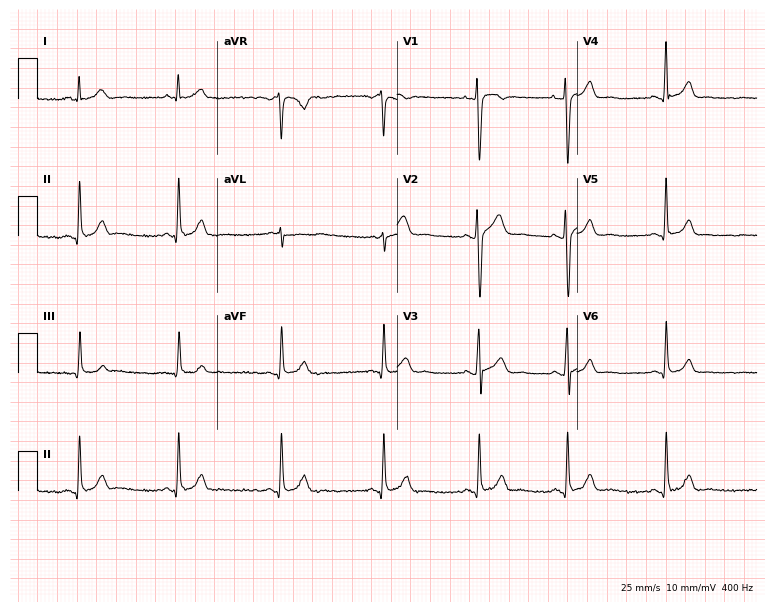
ECG — a 32-year-old man. Labelled as a normal ECG.